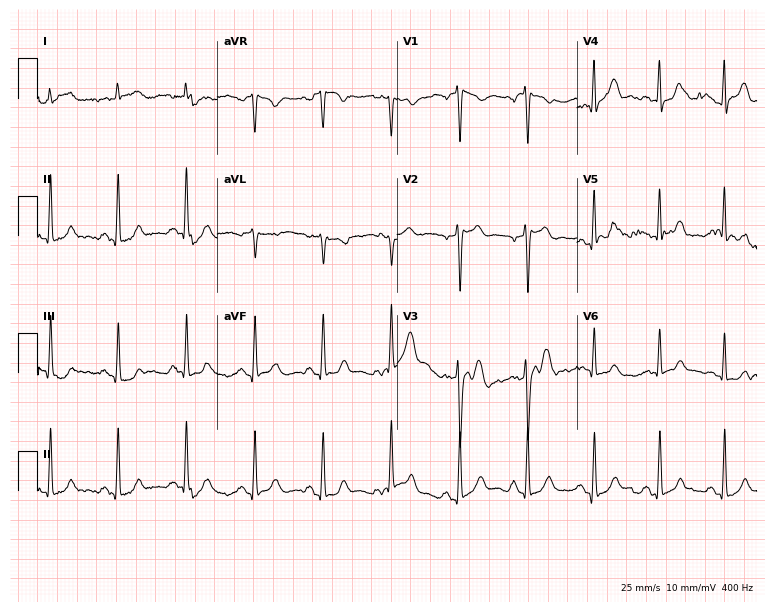
ECG (7.3-second recording at 400 Hz) — a 48-year-old man. Labelled as a normal ECG.